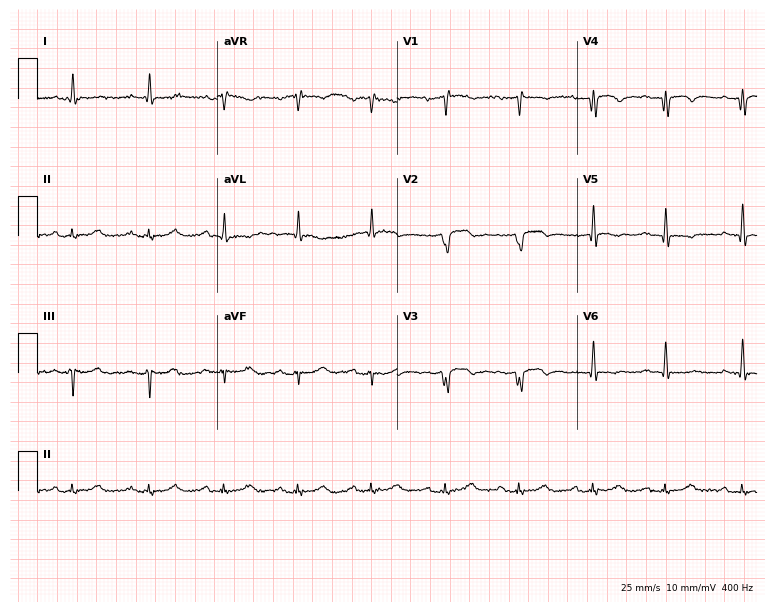
ECG (7.3-second recording at 400 Hz) — a male, 85 years old. Screened for six findings — first-degree AV block, right bundle branch block (RBBB), left bundle branch block (LBBB), sinus bradycardia, atrial fibrillation (AF), sinus tachycardia — none is recorded.